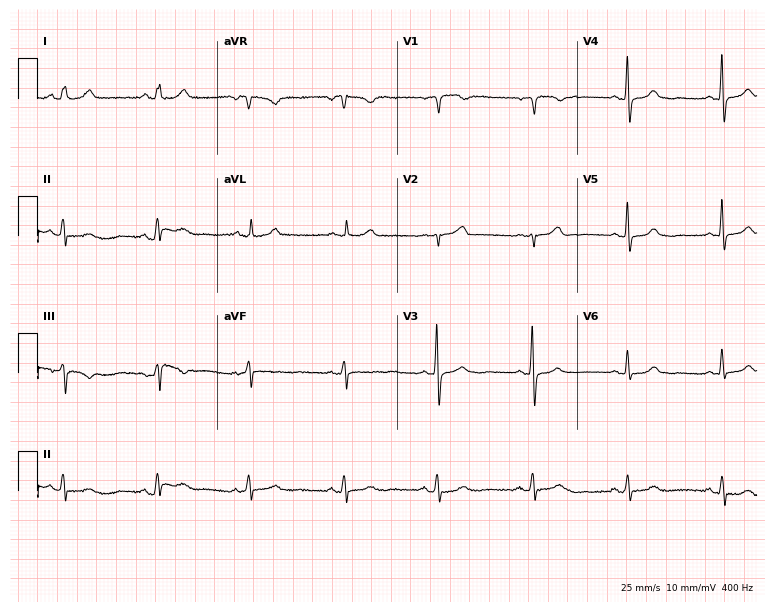
Standard 12-lead ECG recorded from a female, 55 years old. Read as a normal ECG.